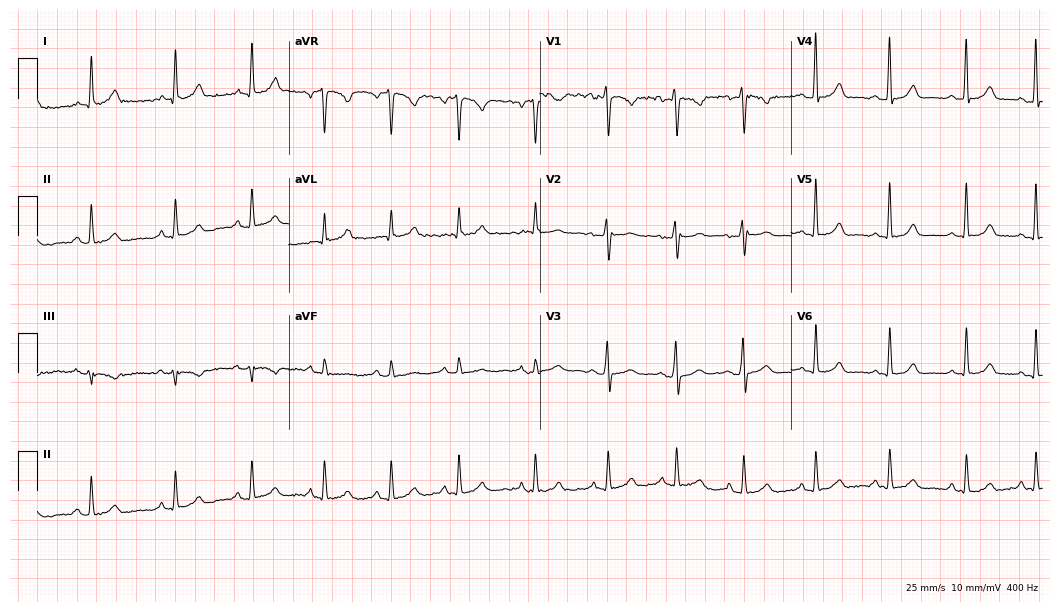
12-lead ECG from a 31-year-old female patient (10.2-second recording at 400 Hz). Recorded interpretation: within normal limits.